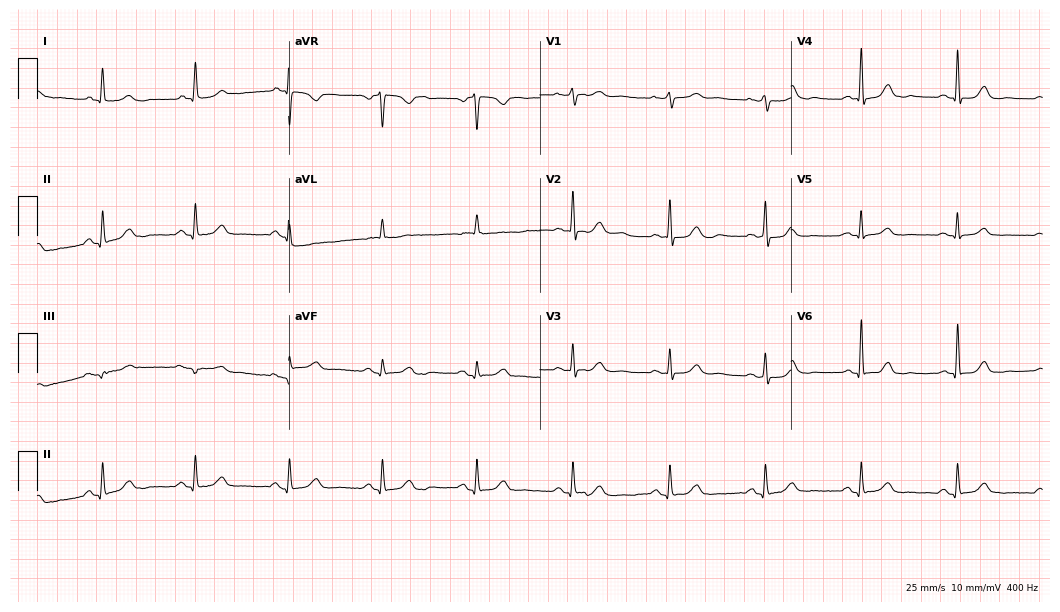
Standard 12-lead ECG recorded from a female, 79 years old (10.2-second recording at 400 Hz). Read as a normal ECG.